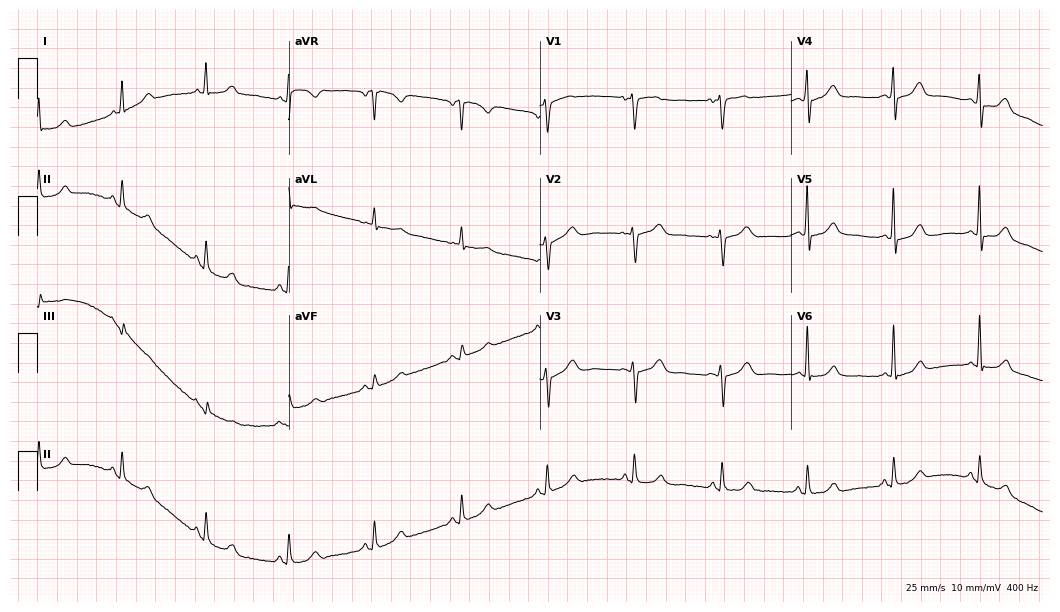
Standard 12-lead ECG recorded from a female patient, 61 years old. Read as a normal ECG.